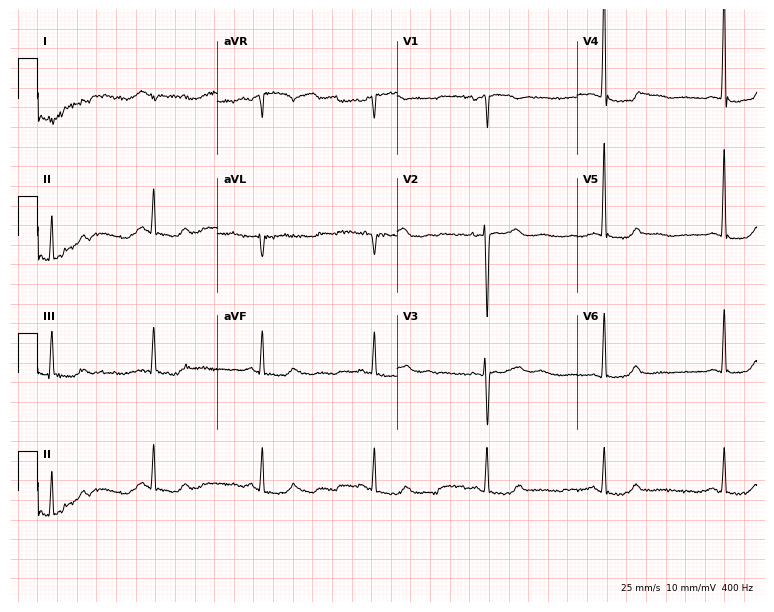
12-lead ECG from a female, 67 years old (7.3-second recording at 400 Hz). No first-degree AV block, right bundle branch block, left bundle branch block, sinus bradycardia, atrial fibrillation or sinus tachycardia recorded for this tracing.